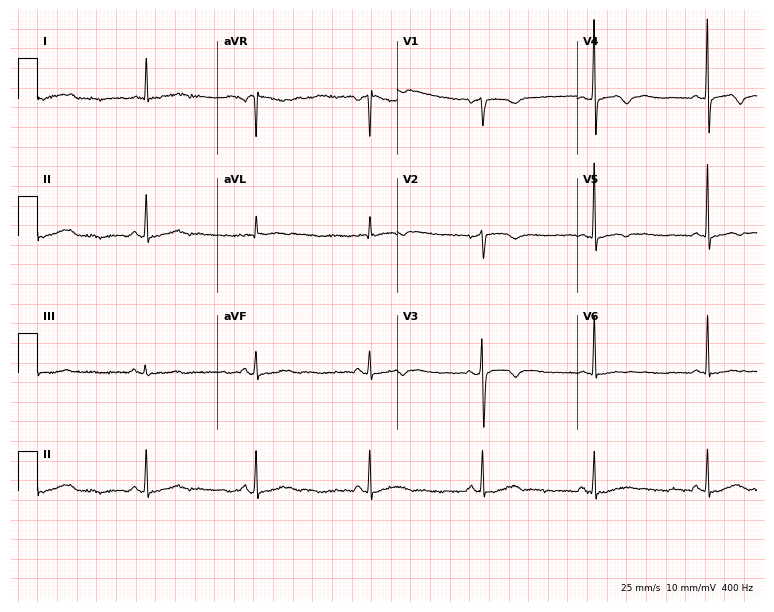
Electrocardiogram, an 80-year-old woman. Of the six screened findings (first-degree AV block, right bundle branch block (RBBB), left bundle branch block (LBBB), sinus bradycardia, atrial fibrillation (AF), sinus tachycardia), none is recorded. Findings outside these six are not listed.